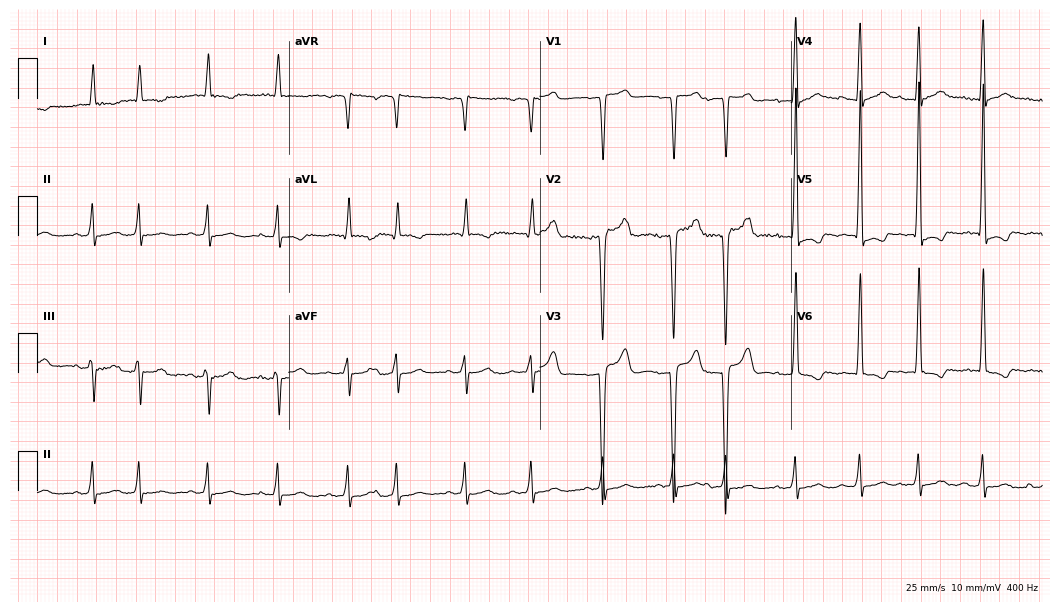
Standard 12-lead ECG recorded from an 85-year-old man. None of these six findings is recorded: first-degree AV block, right bundle branch block, left bundle branch block, sinus bradycardia, atrial fibrillation, sinus tachycardia. Only these six findings were labelled.